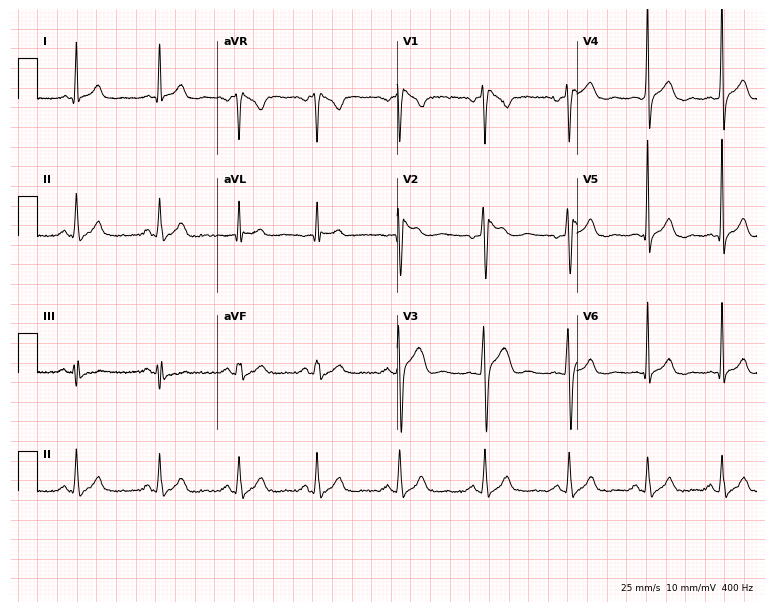
ECG (7.3-second recording at 400 Hz) — a 25-year-old male. Screened for six findings — first-degree AV block, right bundle branch block, left bundle branch block, sinus bradycardia, atrial fibrillation, sinus tachycardia — none is recorded. Findings outside these six are not listed.